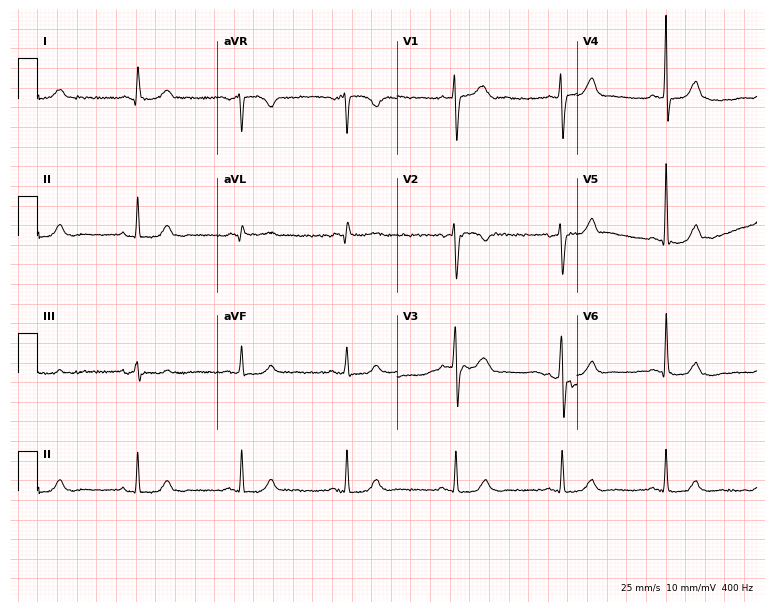
Standard 12-lead ECG recorded from a 44-year-old man (7.3-second recording at 400 Hz). Read as a normal ECG.